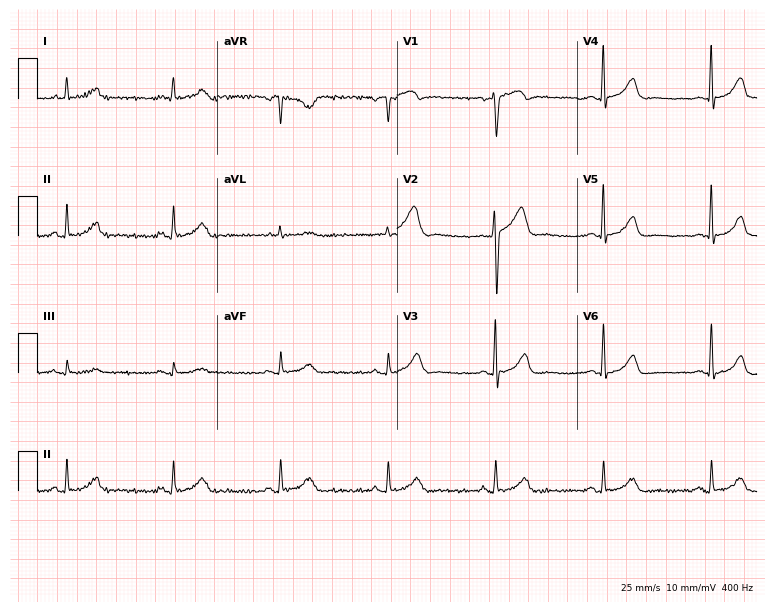
Standard 12-lead ECG recorded from a male patient, 73 years old. None of these six findings is recorded: first-degree AV block, right bundle branch block, left bundle branch block, sinus bradycardia, atrial fibrillation, sinus tachycardia.